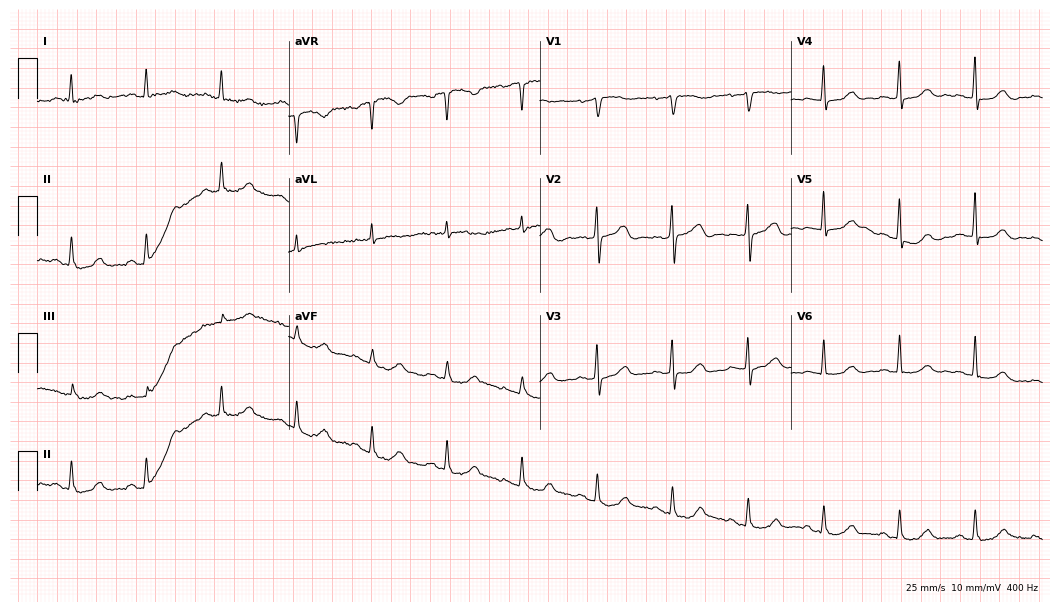
Resting 12-lead electrocardiogram (10.2-second recording at 400 Hz). Patient: a woman, 81 years old. None of these six findings is recorded: first-degree AV block, right bundle branch block, left bundle branch block, sinus bradycardia, atrial fibrillation, sinus tachycardia.